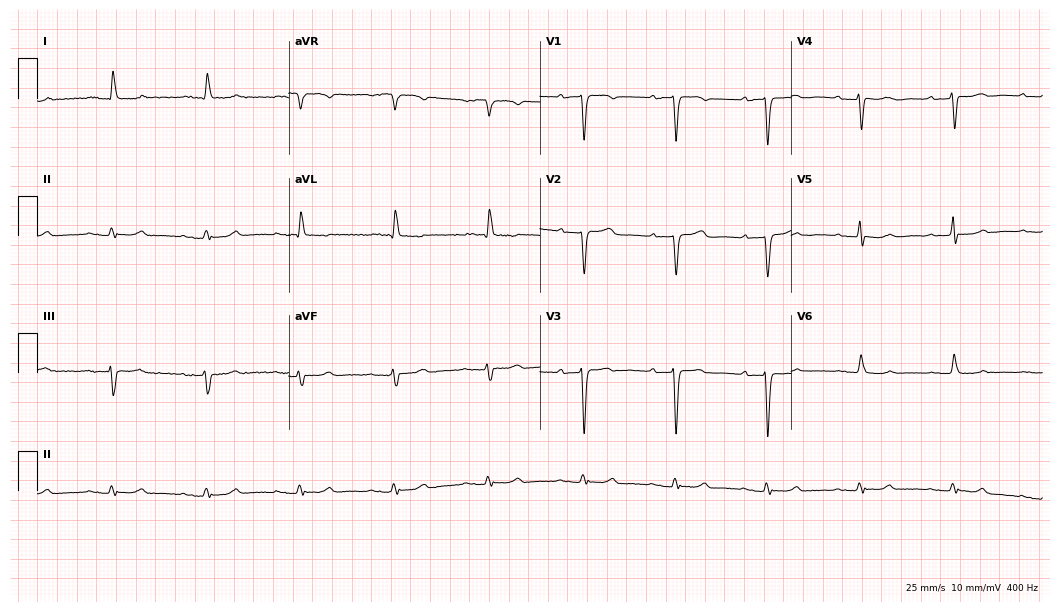
ECG — a 71-year-old female patient. Findings include first-degree AV block.